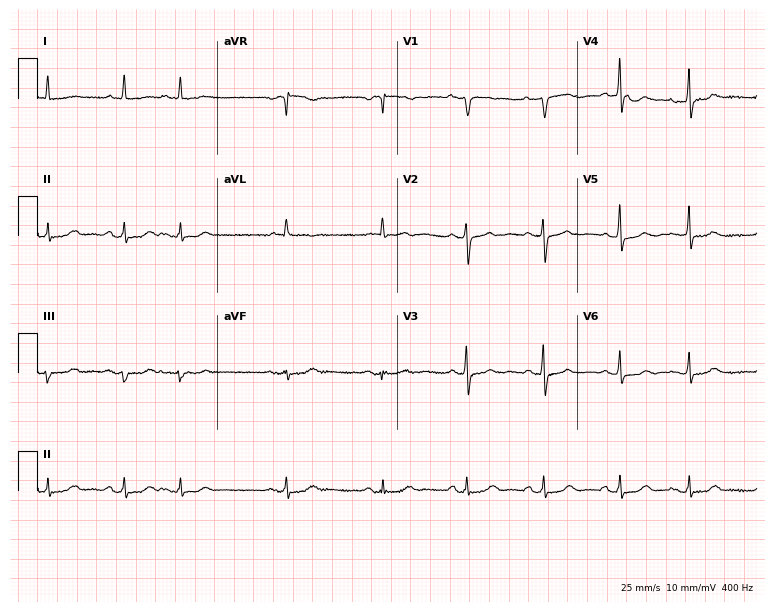
12-lead ECG (7.3-second recording at 400 Hz) from a 76-year-old woman. Screened for six findings — first-degree AV block, right bundle branch block (RBBB), left bundle branch block (LBBB), sinus bradycardia, atrial fibrillation (AF), sinus tachycardia — none is recorded. Other findings, if any, are not listed.